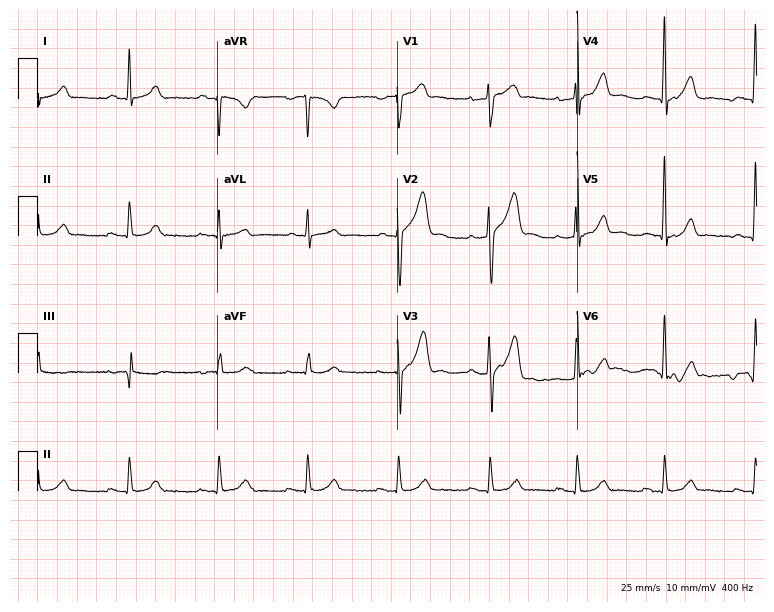
Standard 12-lead ECG recorded from a man, 44 years old. None of these six findings is recorded: first-degree AV block, right bundle branch block (RBBB), left bundle branch block (LBBB), sinus bradycardia, atrial fibrillation (AF), sinus tachycardia.